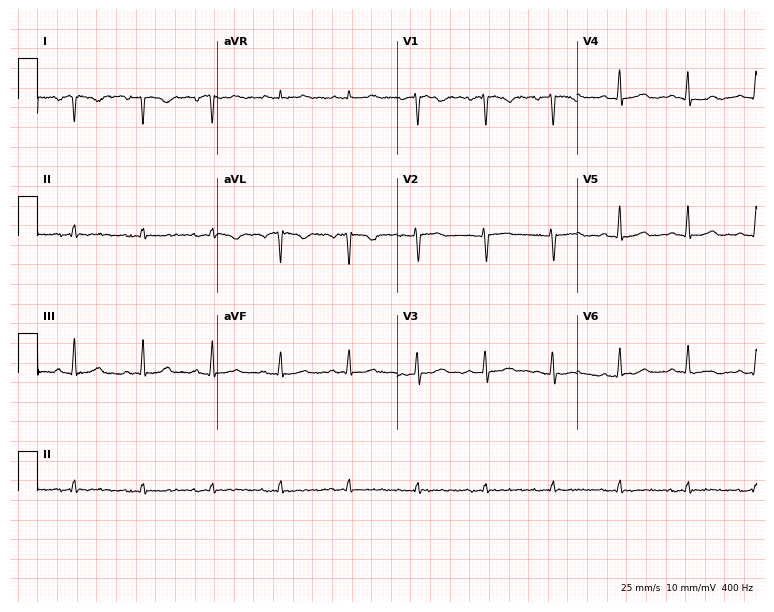
Standard 12-lead ECG recorded from a woman, 35 years old. None of these six findings is recorded: first-degree AV block, right bundle branch block (RBBB), left bundle branch block (LBBB), sinus bradycardia, atrial fibrillation (AF), sinus tachycardia. Only these six findings were labelled.